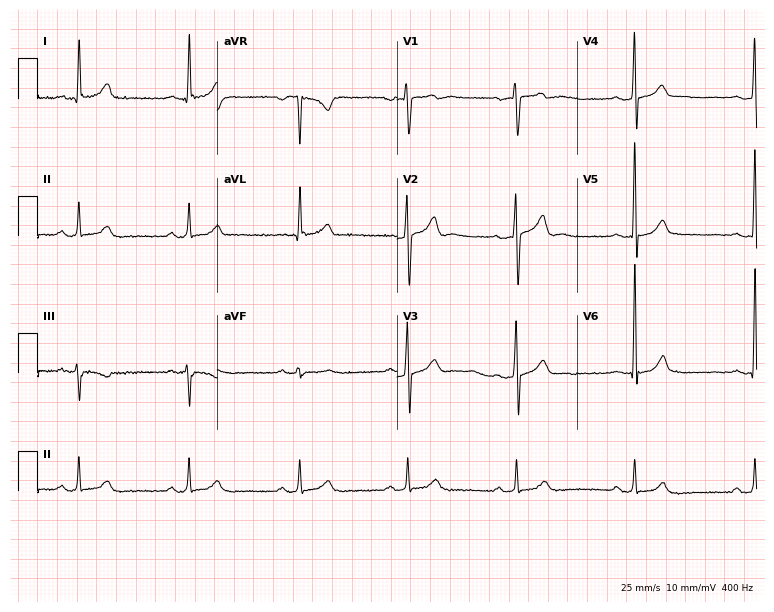
ECG (7.3-second recording at 400 Hz) — a 34-year-old man. Labelled as a normal ECG.